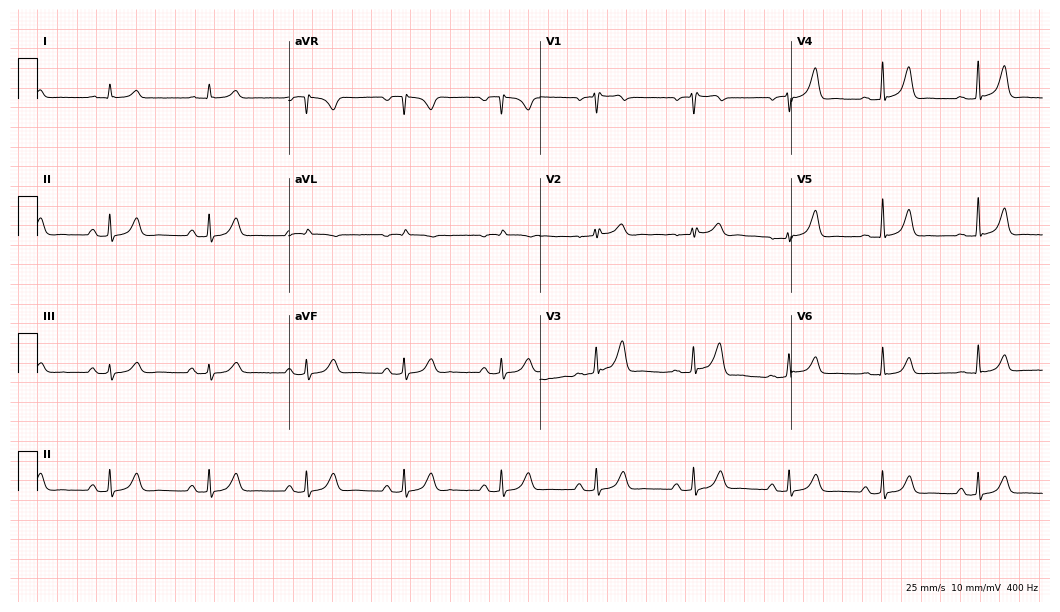
12-lead ECG from a male patient, 71 years old. Recorded interpretation: within normal limits.